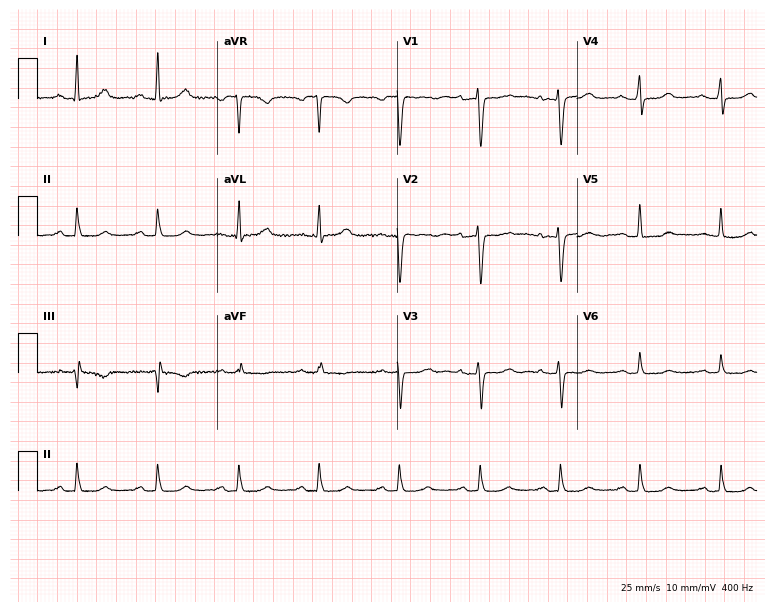
Standard 12-lead ECG recorded from a 52-year-old woman (7.3-second recording at 400 Hz). None of these six findings is recorded: first-degree AV block, right bundle branch block (RBBB), left bundle branch block (LBBB), sinus bradycardia, atrial fibrillation (AF), sinus tachycardia.